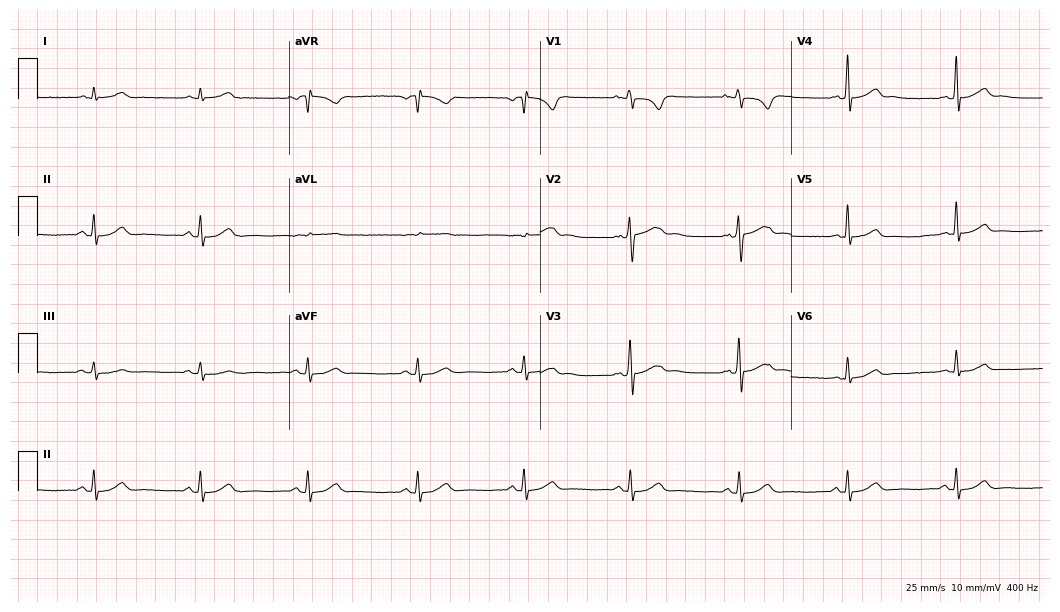
12-lead ECG from a man, 63 years old (10.2-second recording at 400 Hz). Recorded interpretation: within normal limits.